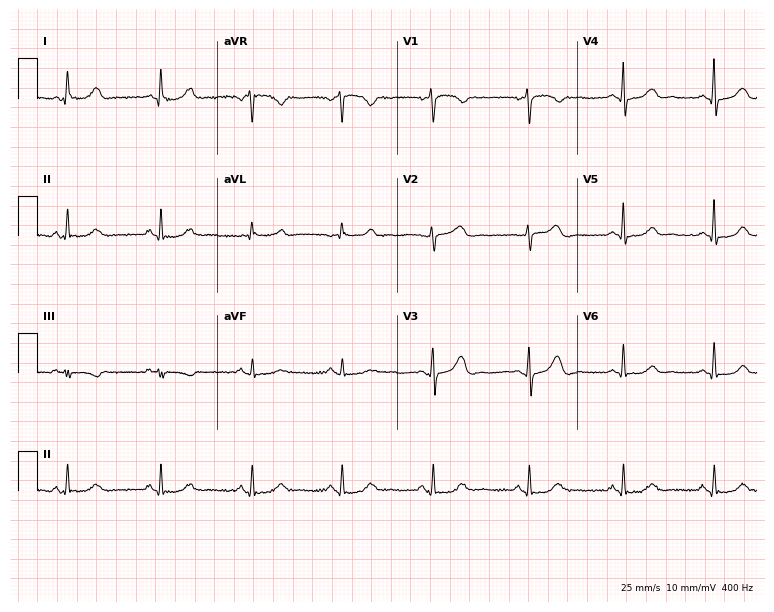
Resting 12-lead electrocardiogram (7.3-second recording at 400 Hz). Patient: a 52-year-old woman. Read as a normal ECG.